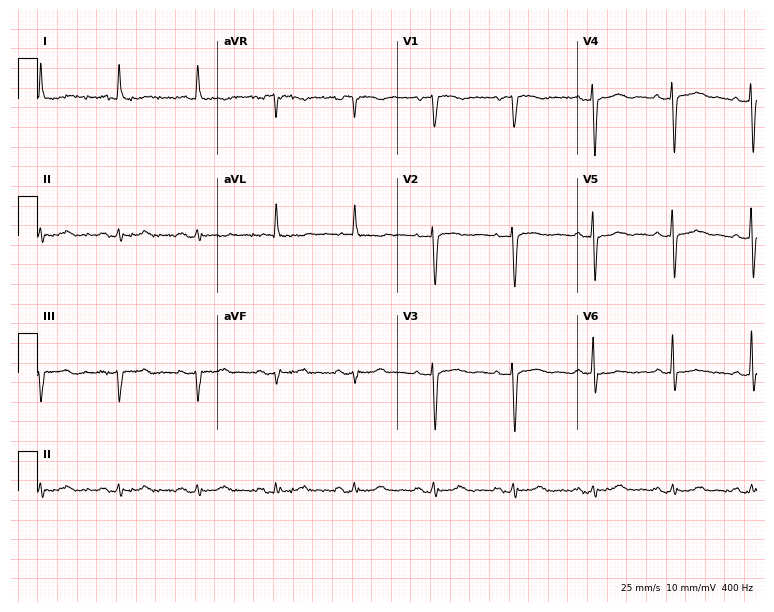
ECG (7.3-second recording at 400 Hz) — a female, 83 years old. Screened for six findings — first-degree AV block, right bundle branch block (RBBB), left bundle branch block (LBBB), sinus bradycardia, atrial fibrillation (AF), sinus tachycardia — none is recorded. Findings outside these six are not listed.